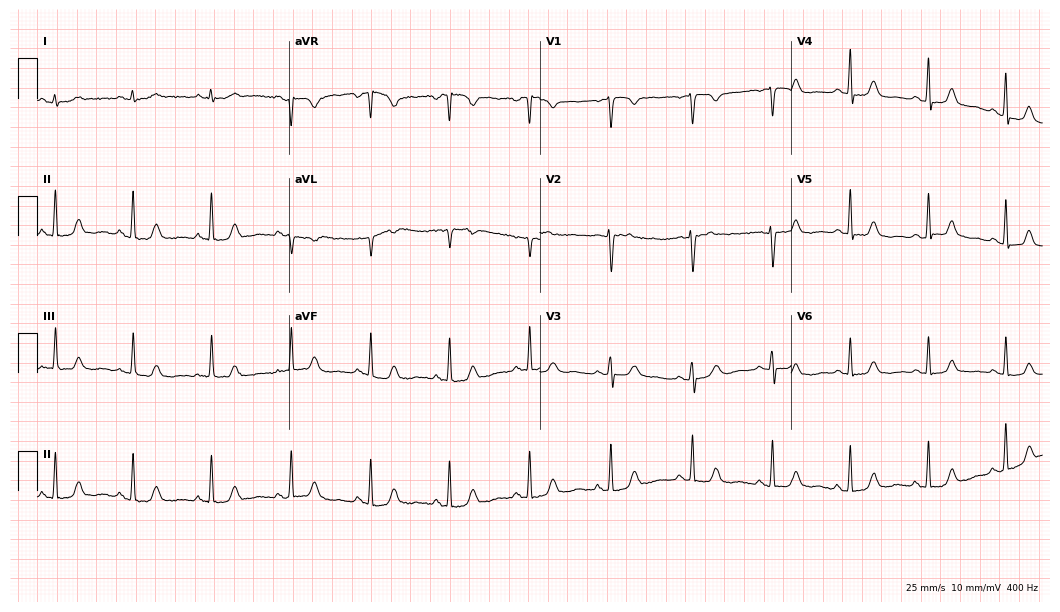
Resting 12-lead electrocardiogram. Patient: a 58-year-old woman. Read as a normal ECG.